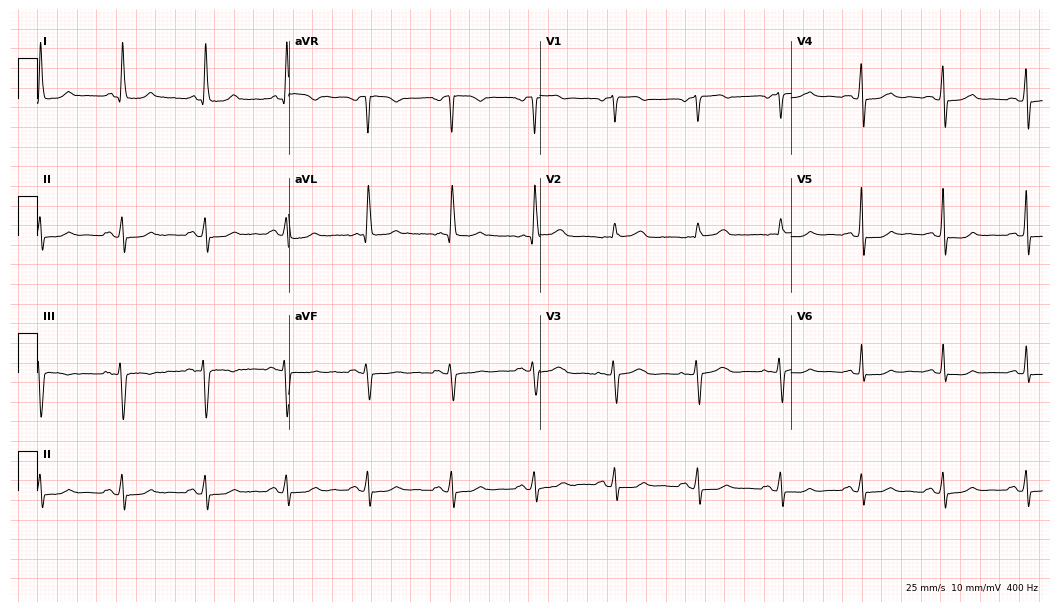
ECG — a woman, 76 years old. Screened for six findings — first-degree AV block, right bundle branch block, left bundle branch block, sinus bradycardia, atrial fibrillation, sinus tachycardia — none is recorded. Only these six findings were labelled.